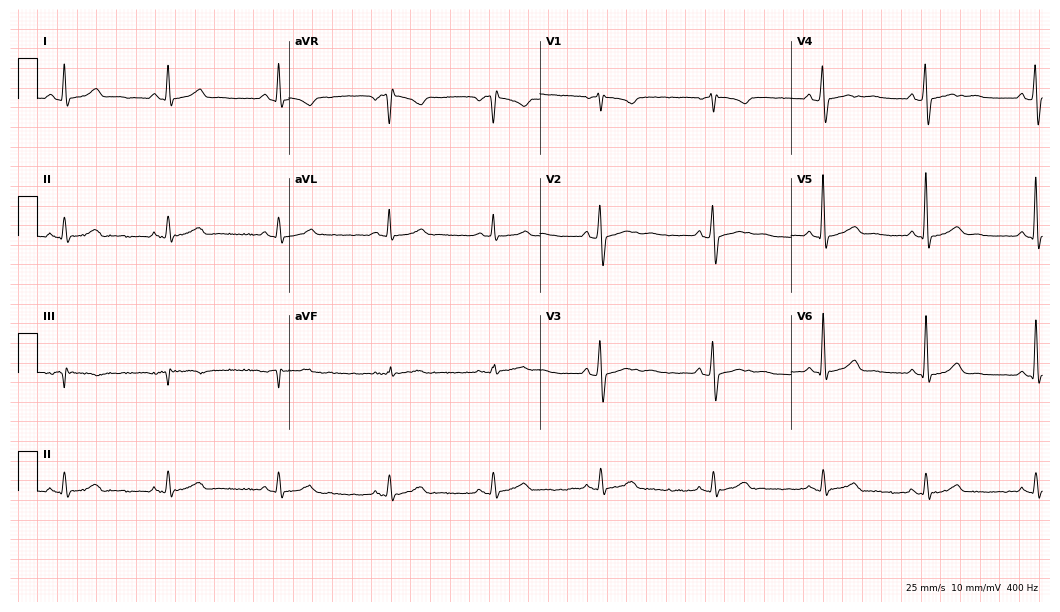
12-lead ECG from a 42-year-old man. Labelled as a normal ECG.